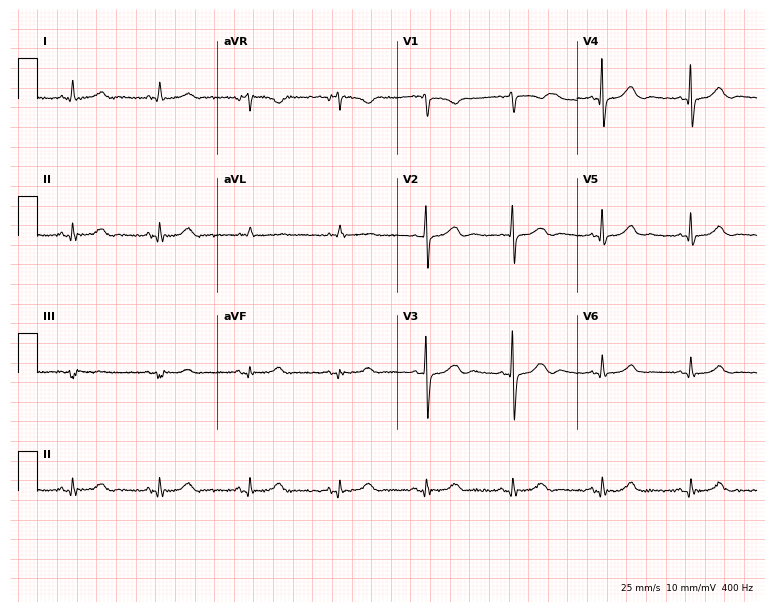
12-lead ECG from a female, 74 years old. No first-degree AV block, right bundle branch block, left bundle branch block, sinus bradycardia, atrial fibrillation or sinus tachycardia recorded for this tracing.